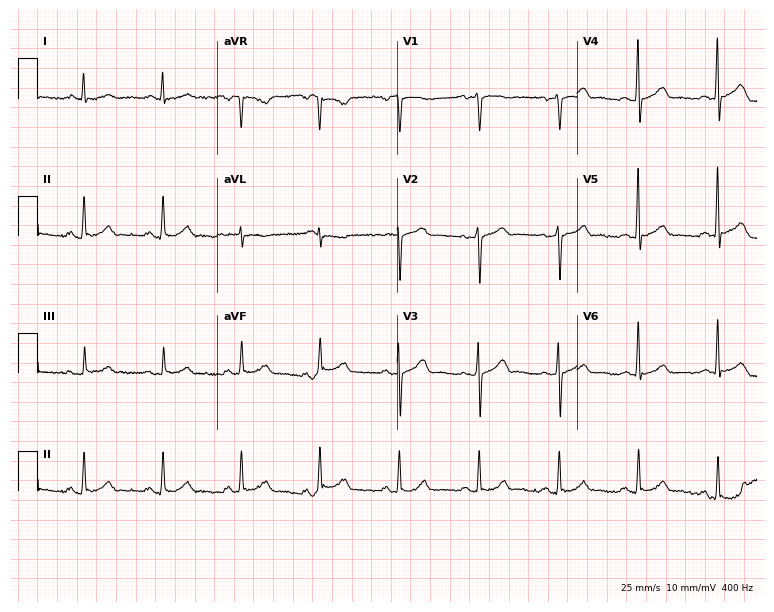
12-lead ECG from a 46-year-old male patient (7.3-second recording at 400 Hz). Recorded interpretation: within normal limits.